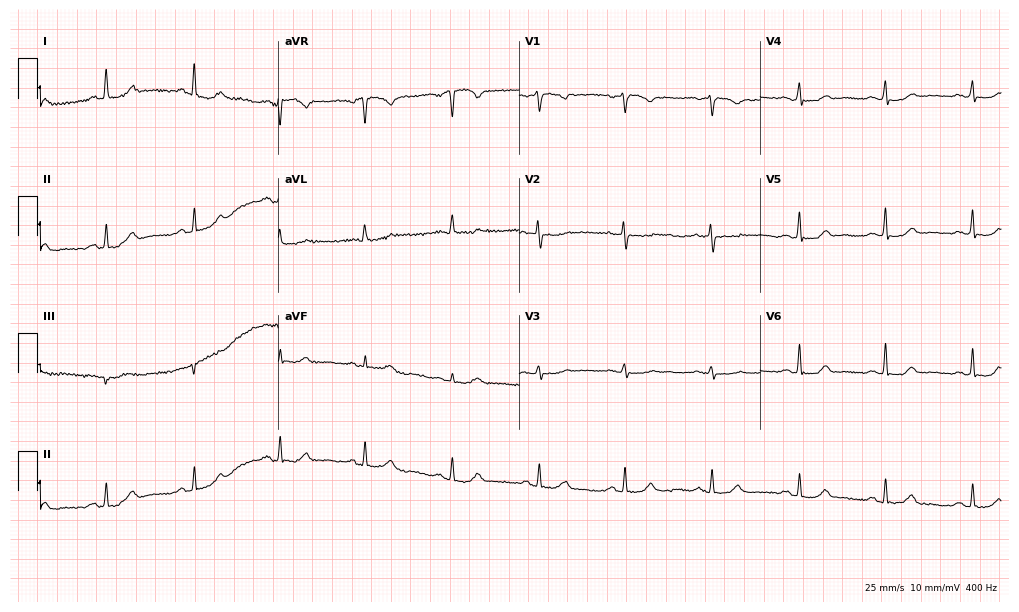
Electrocardiogram (9.8-second recording at 400 Hz), a woman, 53 years old. Of the six screened findings (first-degree AV block, right bundle branch block (RBBB), left bundle branch block (LBBB), sinus bradycardia, atrial fibrillation (AF), sinus tachycardia), none is recorded. Only these six findings were labelled.